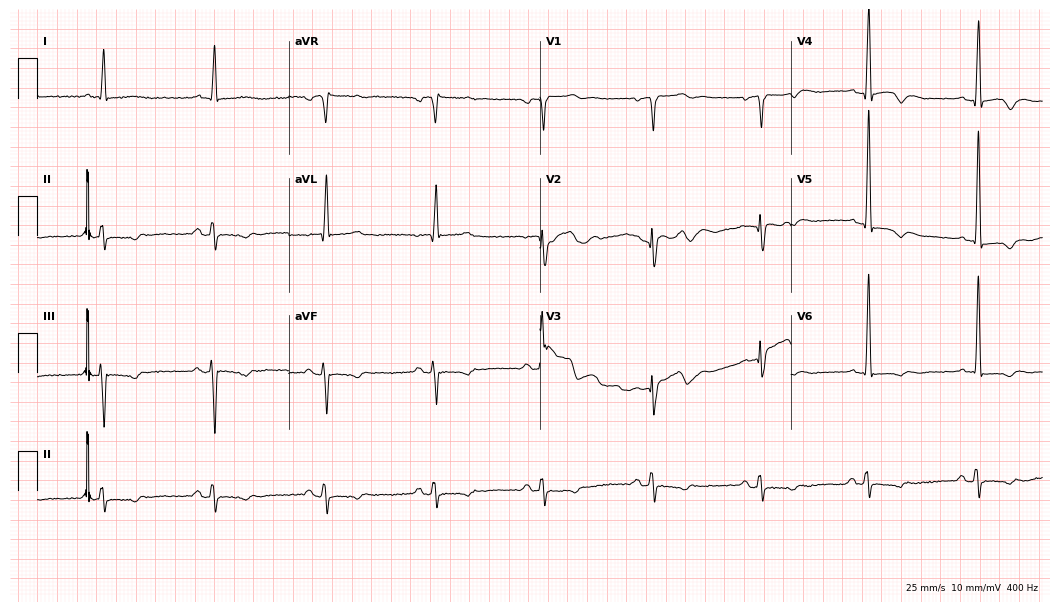
12-lead ECG from a 76-year-old male patient (10.2-second recording at 400 Hz). No first-degree AV block, right bundle branch block, left bundle branch block, sinus bradycardia, atrial fibrillation or sinus tachycardia recorded for this tracing. Other findings, if any, are not listed.